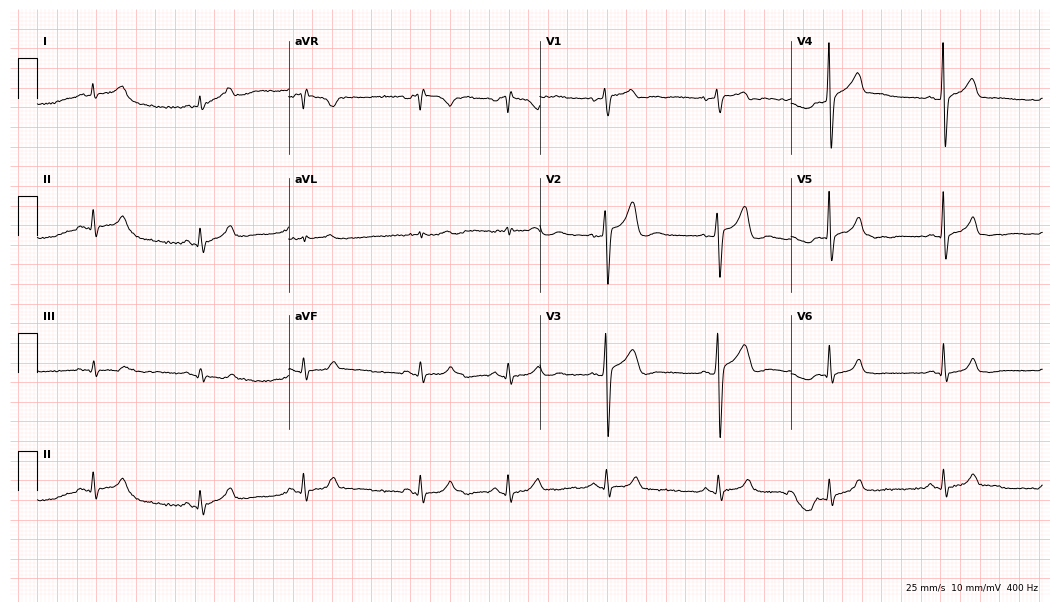
12-lead ECG from a male, 39 years old (10.2-second recording at 400 Hz). No first-degree AV block, right bundle branch block, left bundle branch block, sinus bradycardia, atrial fibrillation or sinus tachycardia recorded for this tracing. Only these six findings were labelled.